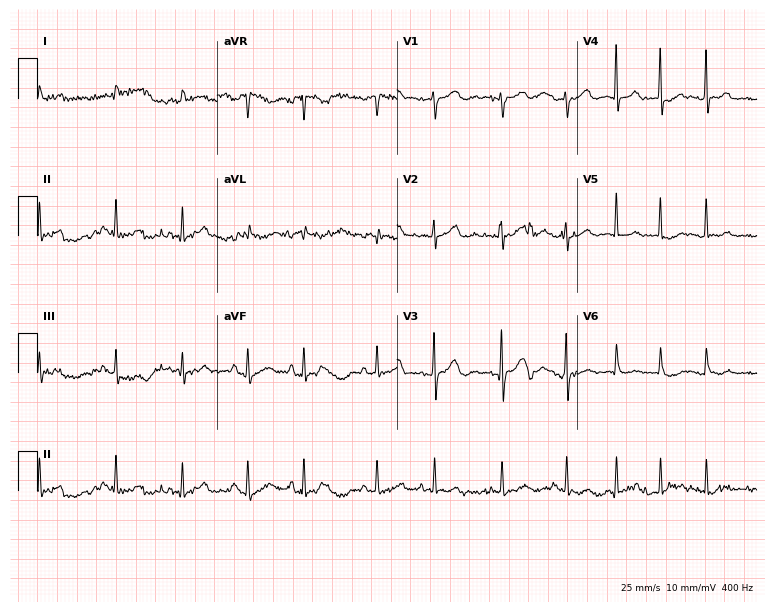
Resting 12-lead electrocardiogram (7.3-second recording at 400 Hz). Patient: a 77-year-old male. None of these six findings is recorded: first-degree AV block, right bundle branch block, left bundle branch block, sinus bradycardia, atrial fibrillation, sinus tachycardia. Only these six findings were labelled.